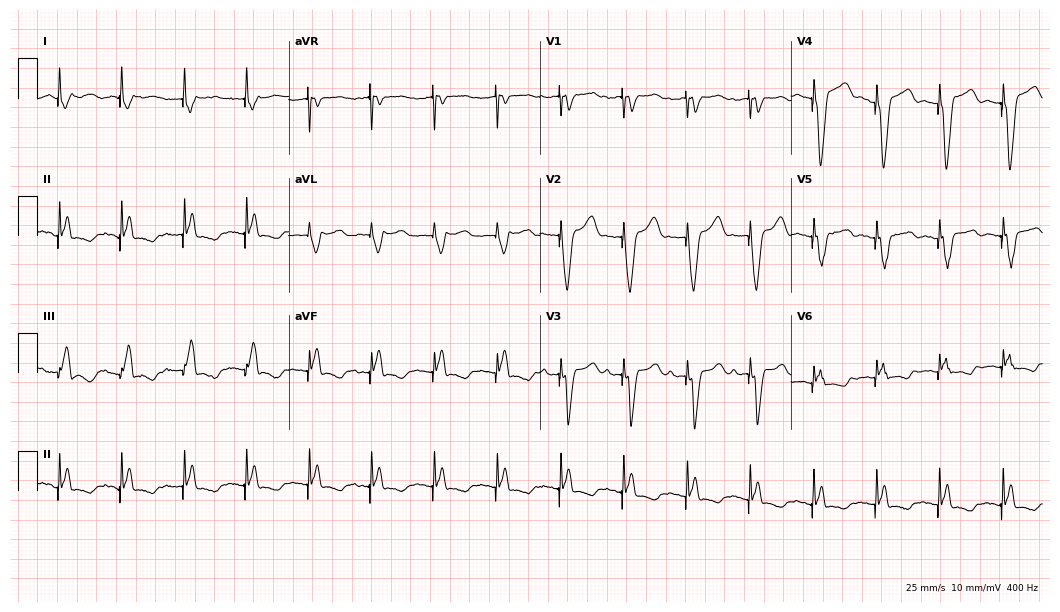
12-lead ECG from a male patient, 86 years old (10.2-second recording at 400 Hz). No first-degree AV block, right bundle branch block (RBBB), left bundle branch block (LBBB), sinus bradycardia, atrial fibrillation (AF) or sinus tachycardia recorded for this tracing. Only these six findings were labelled.